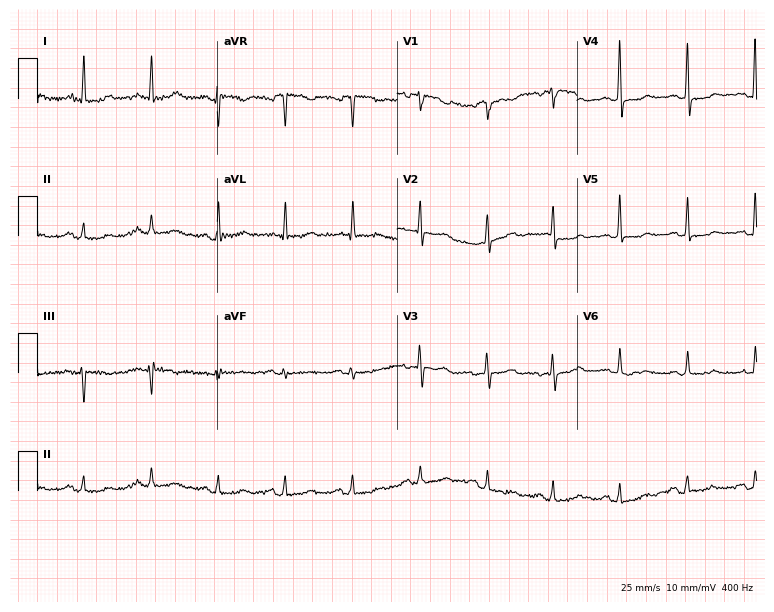
Standard 12-lead ECG recorded from a female patient, 63 years old (7.3-second recording at 400 Hz). None of these six findings is recorded: first-degree AV block, right bundle branch block, left bundle branch block, sinus bradycardia, atrial fibrillation, sinus tachycardia.